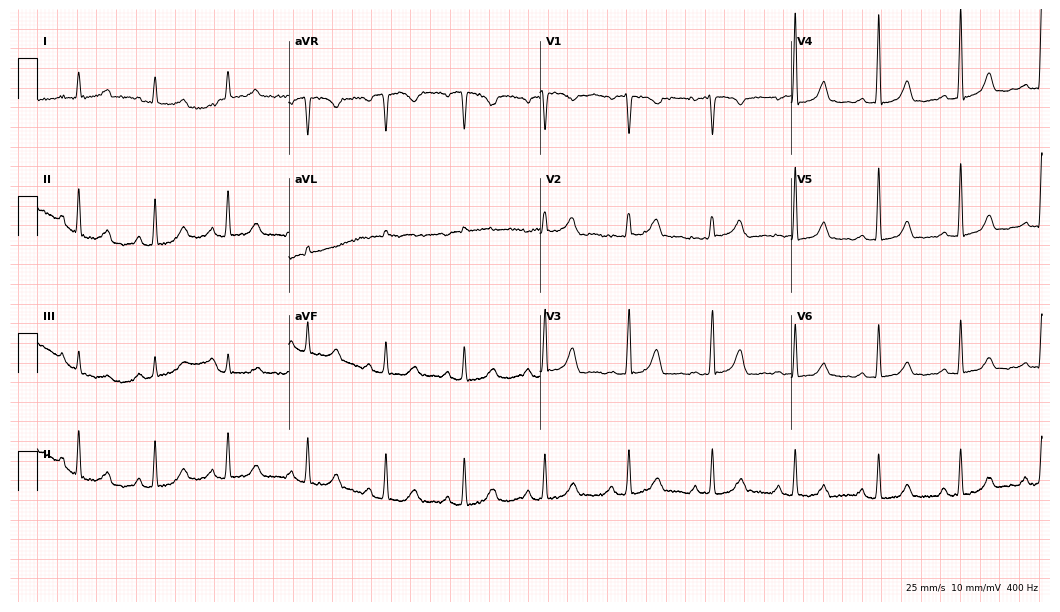
12-lead ECG from a 57-year-old woman. Screened for six findings — first-degree AV block, right bundle branch block (RBBB), left bundle branch block (LBBB), sinus bradycardia, atrial fibrillation (AF), sinus tachycardia — none is recorded.